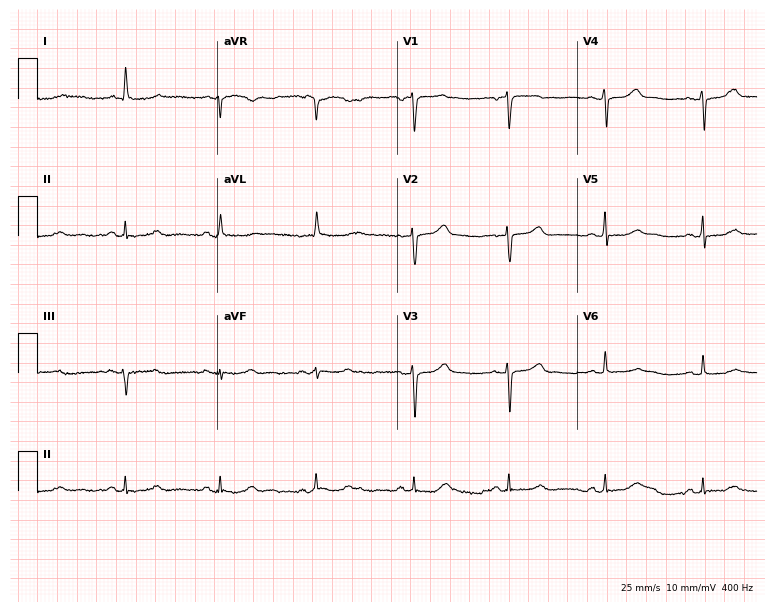
Standard 12-lead ECG recorded from a 76-year-old female patient (7.3-second recording at 400 Hz). None of these six findings is recorded: first-degree AV block, right bundle branch block, left bundle branch block, sinus bradycardia, atrial fibrillation, sinus tachycardia.